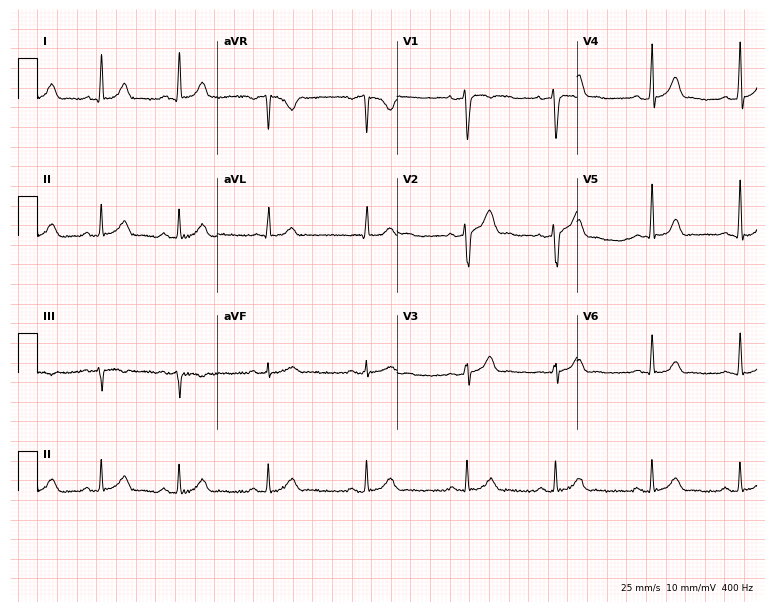
Electrocardiogram (7.3-second recording at 400 Hz), a man, 34 years old. Overall reading on record: normal ECG.